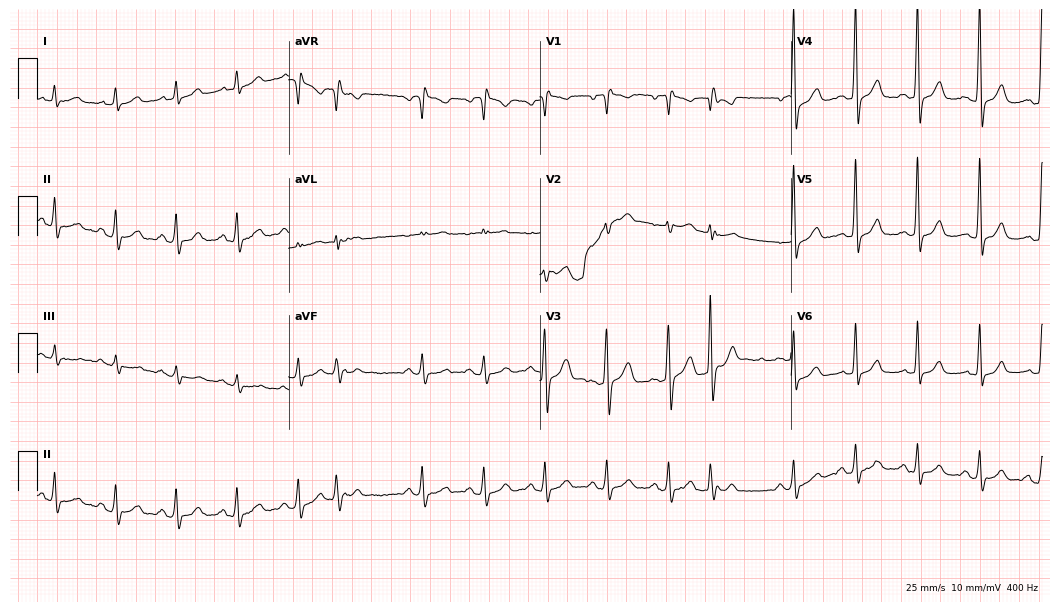
Electrocardiogram, a man, 55 years old. Of the six screened findings (first-degree AV block, right bundle branch block, left bundle branch block, sinus bradycardia, atrial fibrillation, sinus tachycardia), none is recorded.